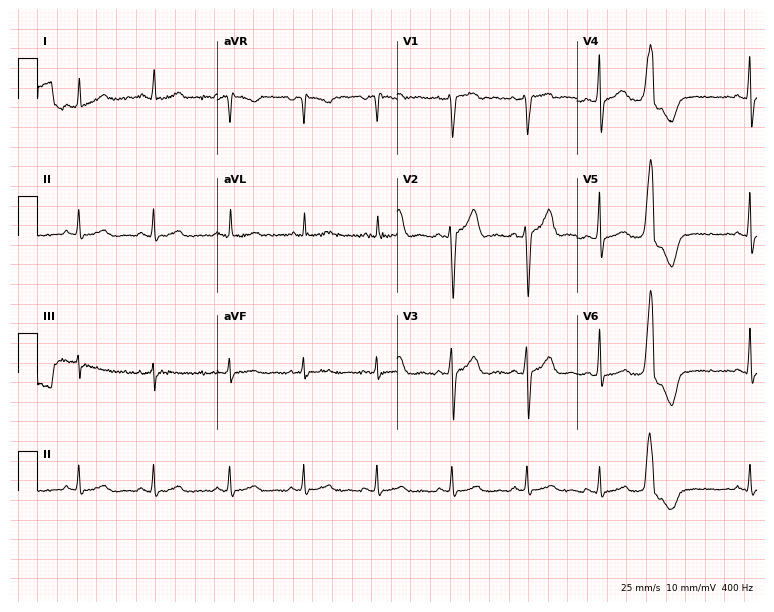
Standard 12-lead ECG recorded from a 44-year-old male patient. None of these six findings is recorded: first-degree AV block, right bundle branch block, left bundle branch block, sinus bradycardia, atrial fibrillation, sinus tachycardia.